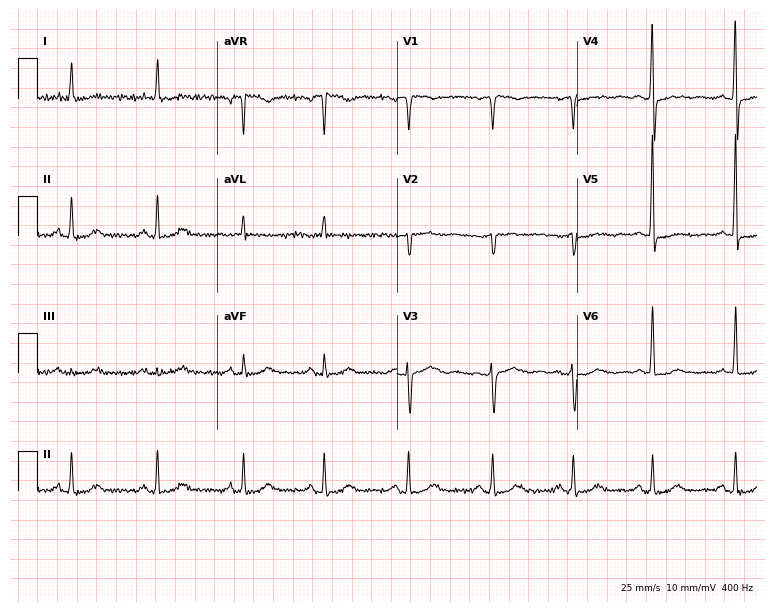
12-lead ECG from a 66-year-old woman. Screened for six findings — first-degree AV block, right bundle branch block, left bundle branch block, sinus bradycardia, atrial fibrillation, sinus tachycardia — none is recorded. Other findings, if any, are not listed.